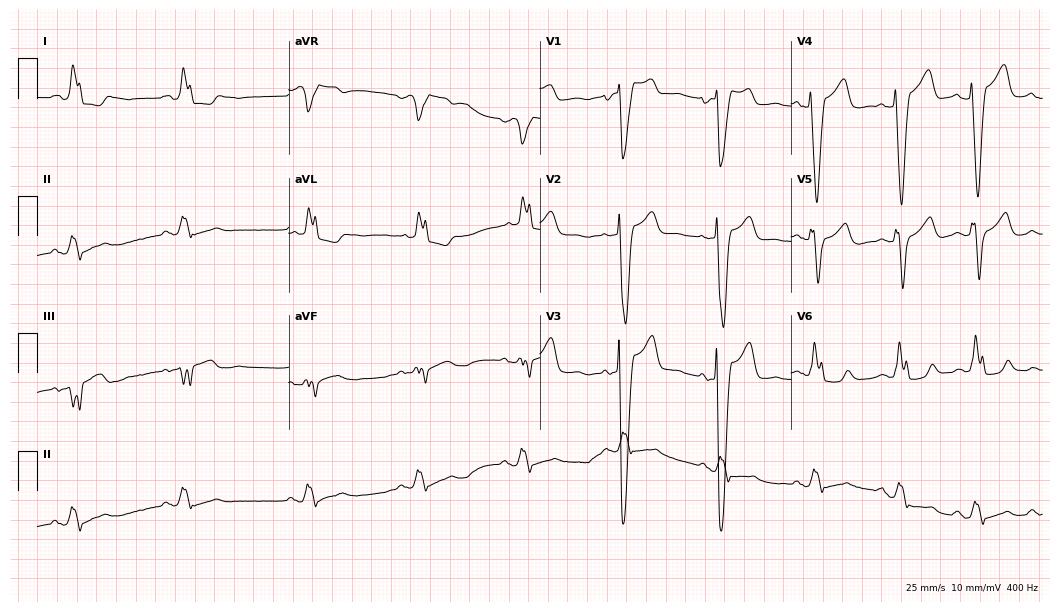
12-lead ECG (10.2-second recording at 400 Hz) from an 85-year-old woman. Findings include left bundle branch block.